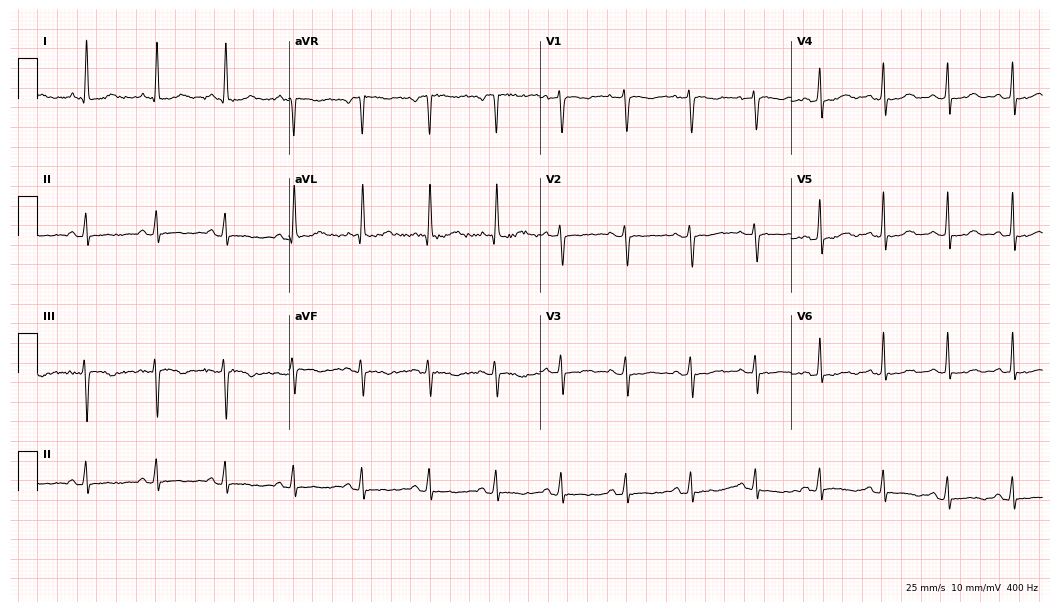
Standard 12-lead ECG recorded from a female, 43 years old. None of these six findings is recorded: first-degree AV block, right bundle branch block, left bundle branch block, sinus bradycardia, atrial fibrillation, sinus tachycardia. Other findings, if any, are not listed.